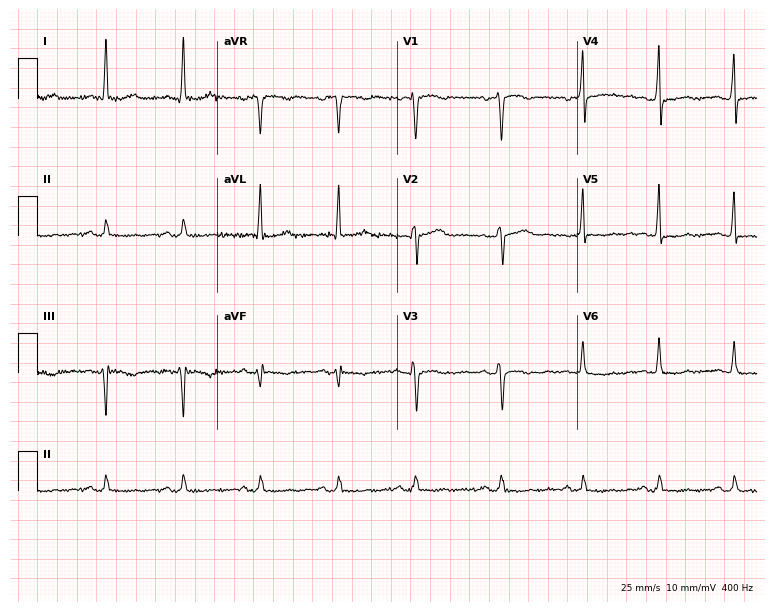
Electrocardiogram, a female patient, 57 years old. Of the six screened findings (first-degree AV block, right bundle branch block, left bundle branch block, sinus bradycardia, atrial fibrillation, sinus tachycardia), none is recorded.